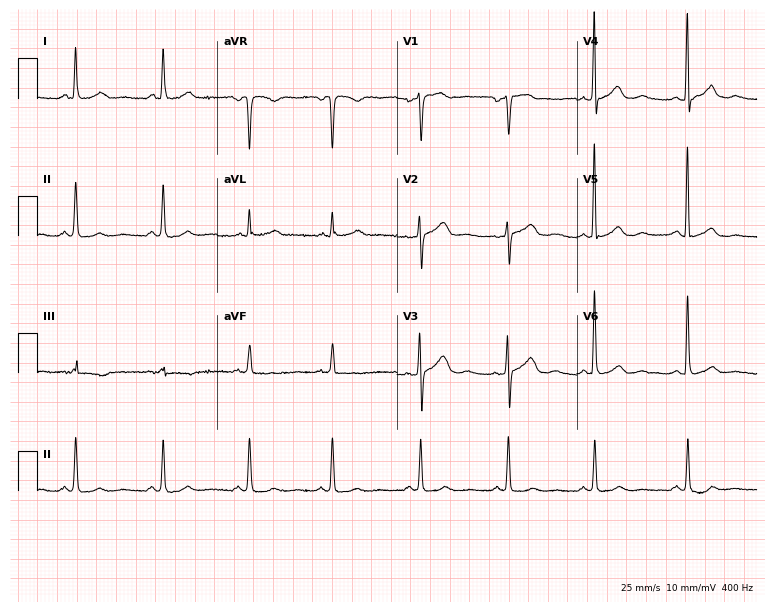
12-lead ECG from a female patient, 67 years old. Screened for six findings — first-degree AV block, right bundle branch block, left bundle branch block, sinus bradycardia, atrial fibrillation, sinus tachycardia — none is recorded. Findings outside these six are not listed.